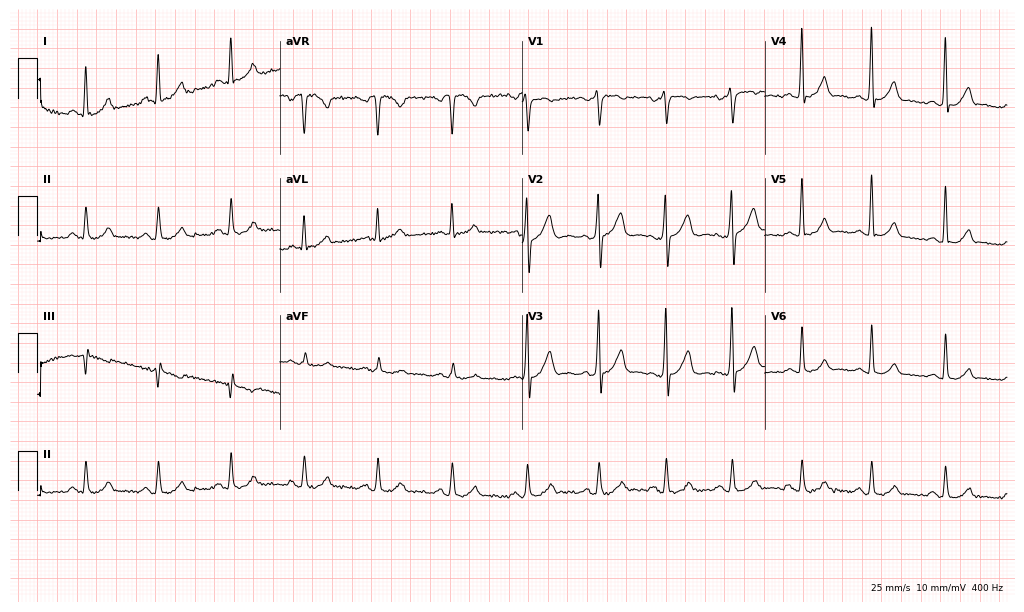
12-lead ECG from a 33-year-old male patient (9.9-second recording at 400 Hz). Recorded interpretation: within normal limits.